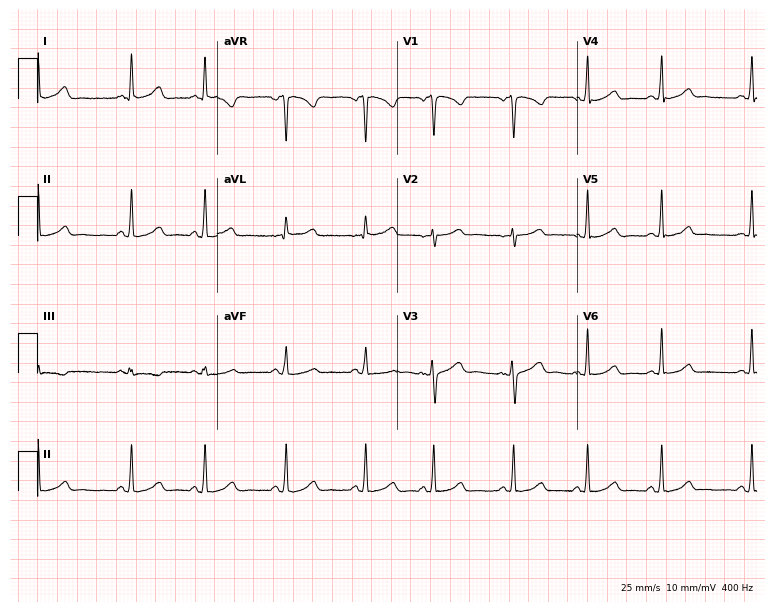
Resting 12-lead electrocardiogram. Patient: a woman, 26 years old. Read as a normal ECG.